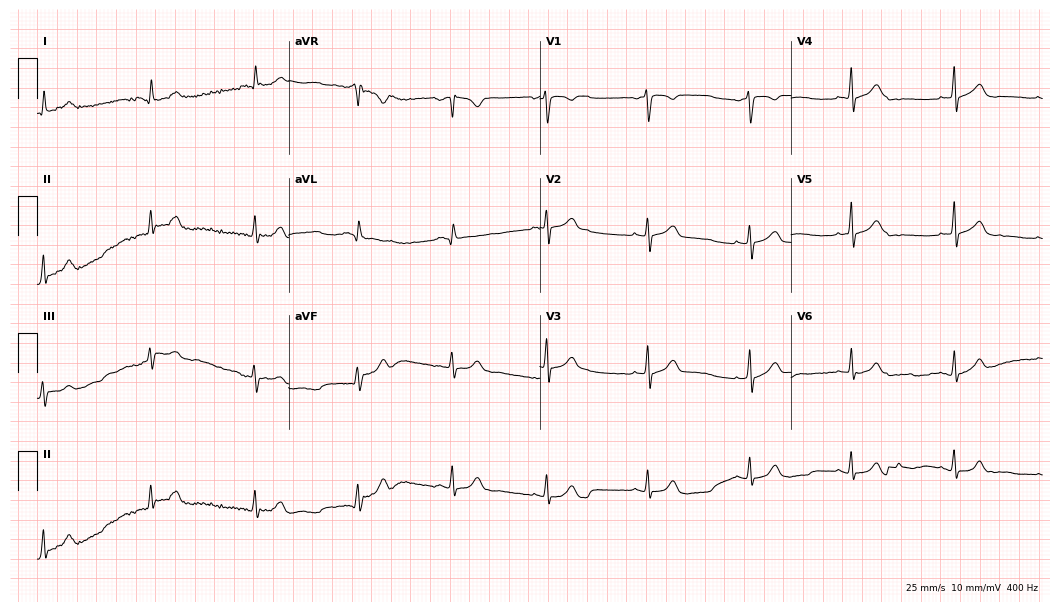
ECG — a 21-year-old female patient. Labelled as a normal ECG.